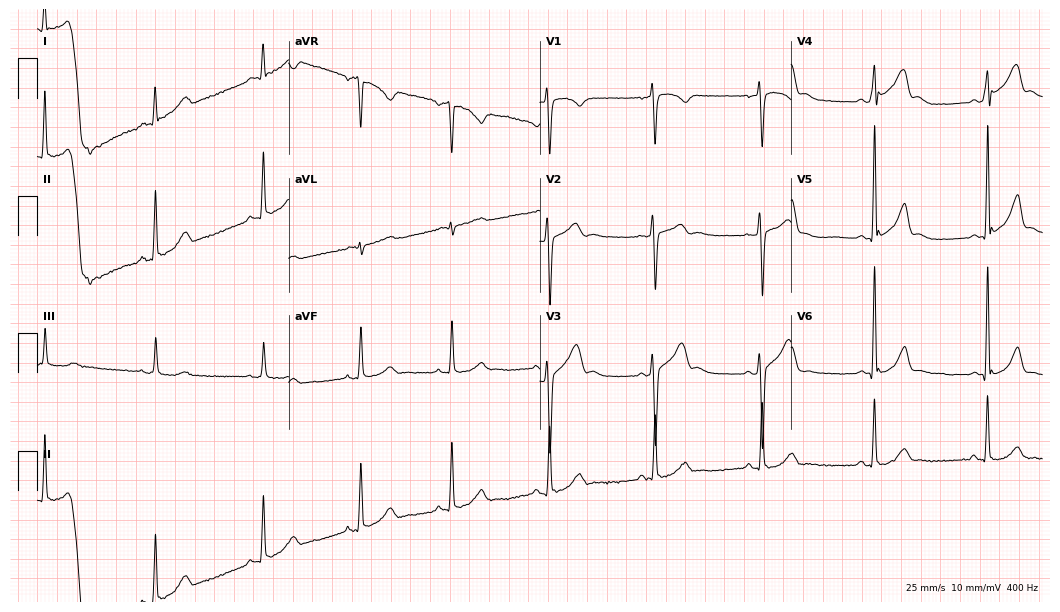
Standard 12-lead ECG recorded from a 33-year-old male patient (10.2-second recording at 400 Hz). None of these six findings is recorded: first-degree AV block, right bundle branch block (RBBB), left bundle branch block (LBBB), sinus bradycardia, atrial fibrillation (AF), sinus tachycardia. Other findings, if any, are not listed.